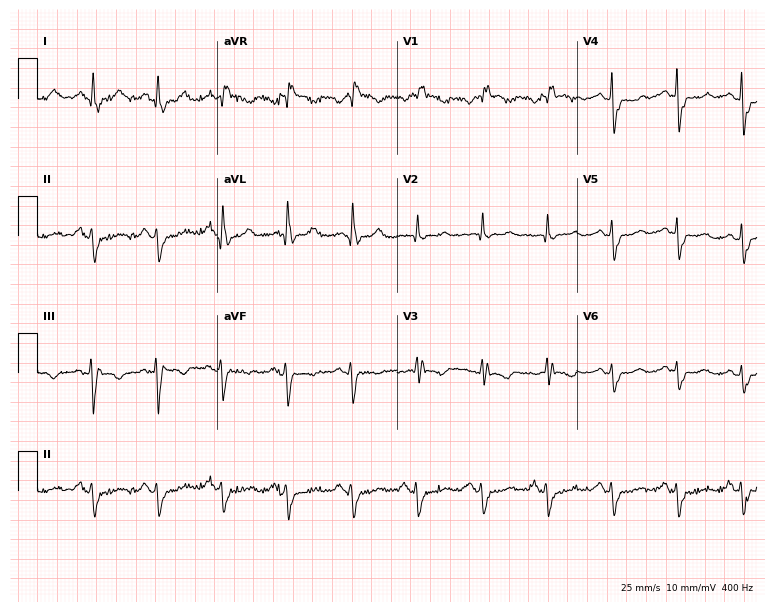
12-lead ECG from an 81-year-old female patient. No first-degree AV block, right bundle branch block, left bundle branch block, sinus bradycardia, atrial fibrillation or sinus tachycardia recorded for this tracing.